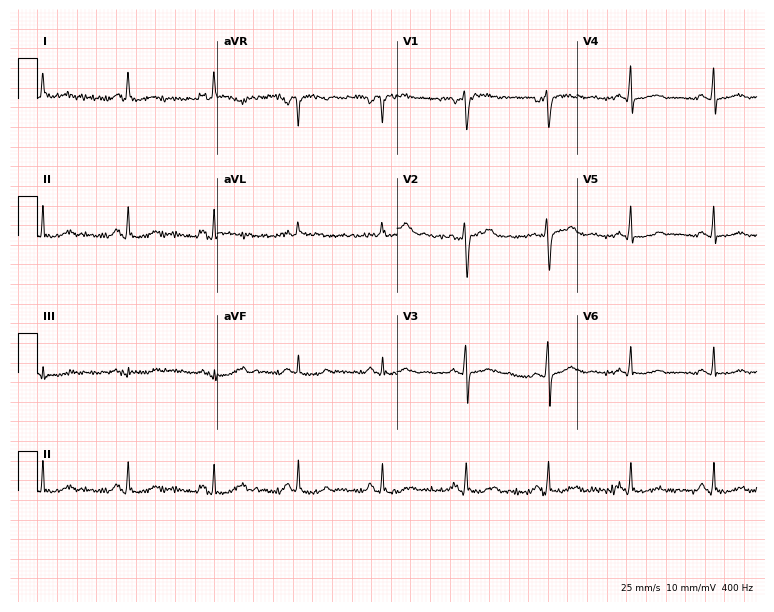
12-lead ECG from a 60-year-old woman. No first-degree AV block, right bundle branch block (RBBB), left bundle branch block (LBBB), sinus bradycardia, atrial fibrillation (AF) or sinus tachycardia recorded for this tracing.